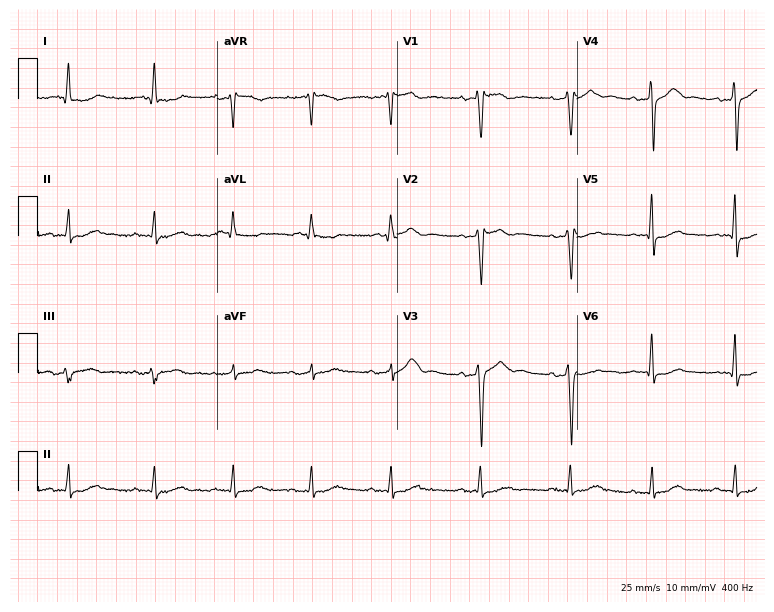
Resting 12-lead electrocardiogram (7.3-second recording at 400 Hz). Patient: a 72-year-old man. None of these six findings is recorded: first-degree AV block, right bundle branch block, left bundle branch block, sinus bradycardia, atrial fibrillation, sinus tachycardia. Findings outside these six are not listed.